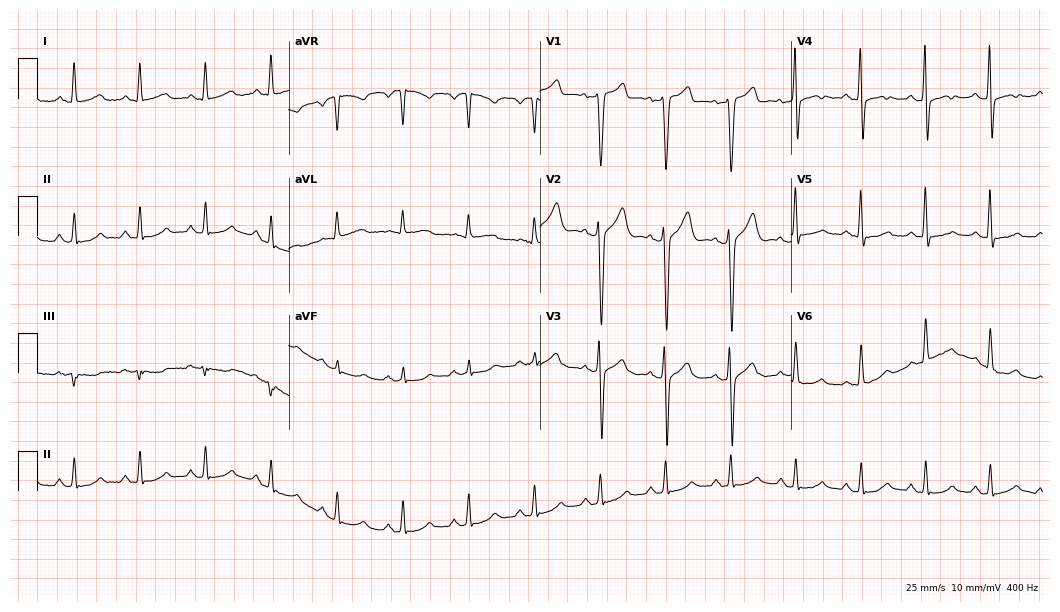
Electrocardiogram, a man, 51 years old. Overall reading on record: normal ECG.